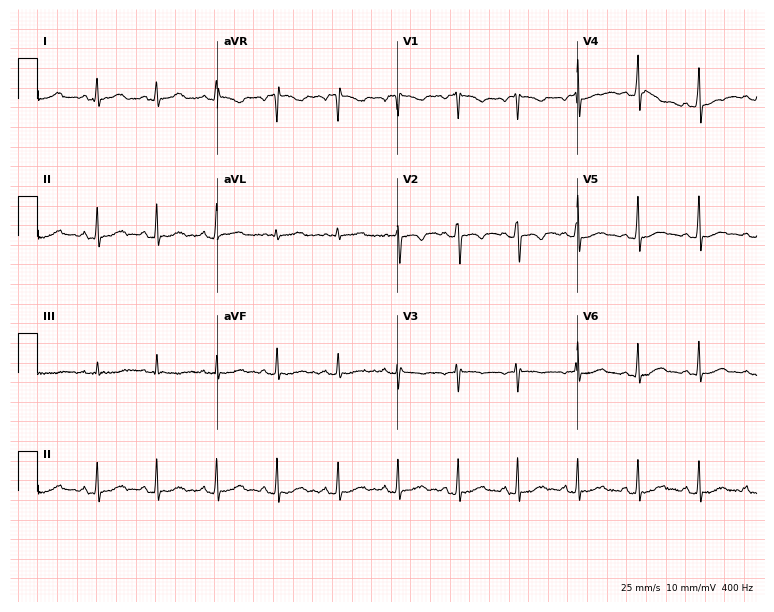
Electrocardiogram, a 25-year-old female. Of the six screened findings (first-degree AV block, right bundle branch block (RBBB), left bundle branch block (LBBB), sinus bradycardia, atrial fibrillation (AF), sinus tachycardia), none is recorded. Only these six findings were labelled.